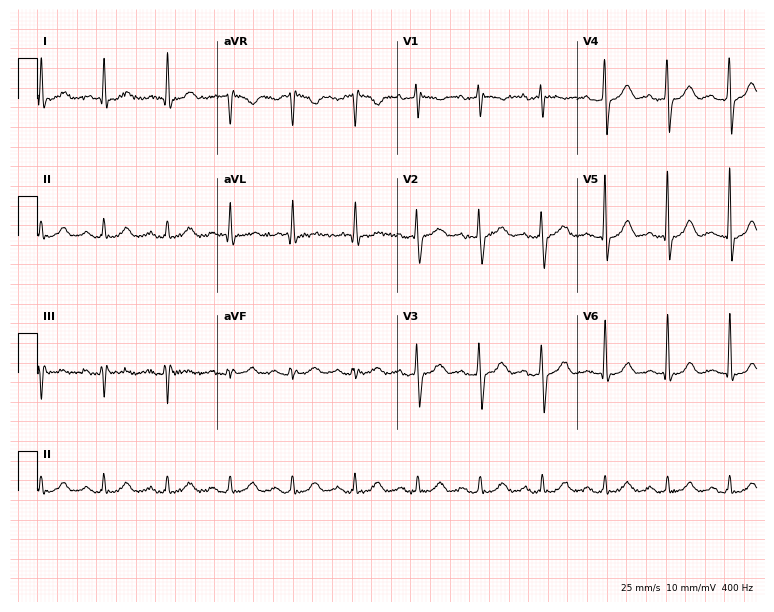
Resting 12-lead electrocardiogram (7.3-second recording at 400 Hz). Patient: a 68-year-old male. None of these six findings is recorded: first-degree AV block, right bundle branch block, left bundle branch block, sinus bradycardia, atrial fibrillation, sinus tachycardia. Findings outside these six are not listed.